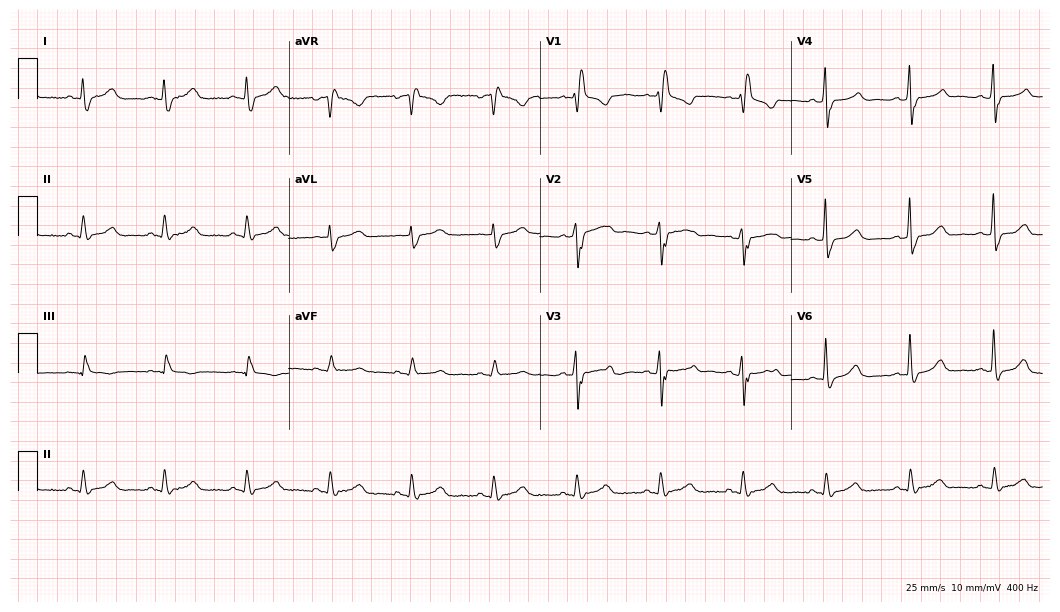
Electrocardiogram (10.2-second recording at 400 Hz), a 70-year-old male. Interpretation includes right bundle branch block.